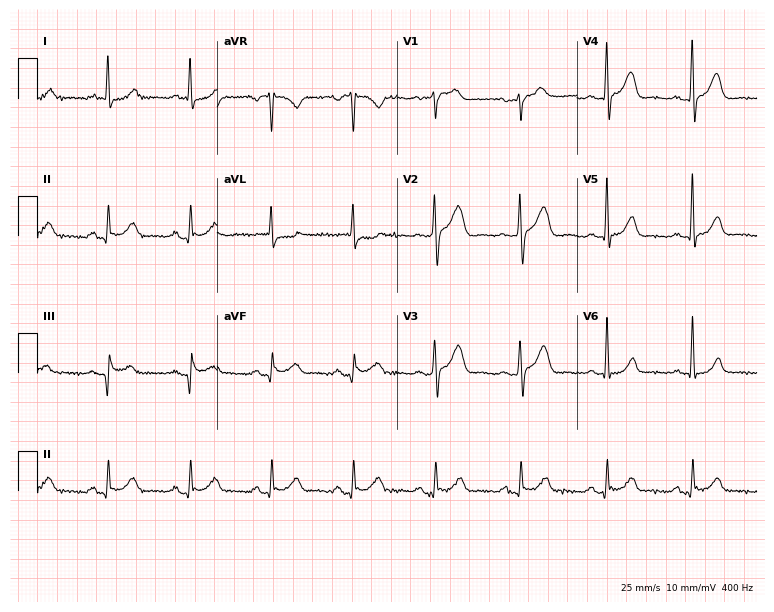
Electrocardiogram, a male, 63 years old. Overall reading on record: normal ECG.